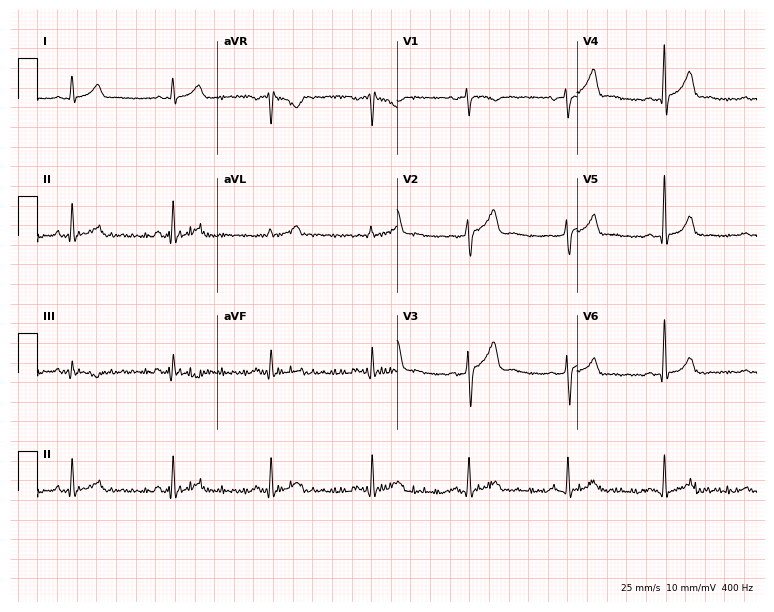
12-lead ECG (7.3-second recording at 400 Hz) from a male, 29 years old. Screened for six findings — first-degree AV block, right bundle branch block (RBBB), left bundle branch block (LBBB), sinus bradycardia, atrial fibrillation (AF), sinus tachycardia — none is recorded.